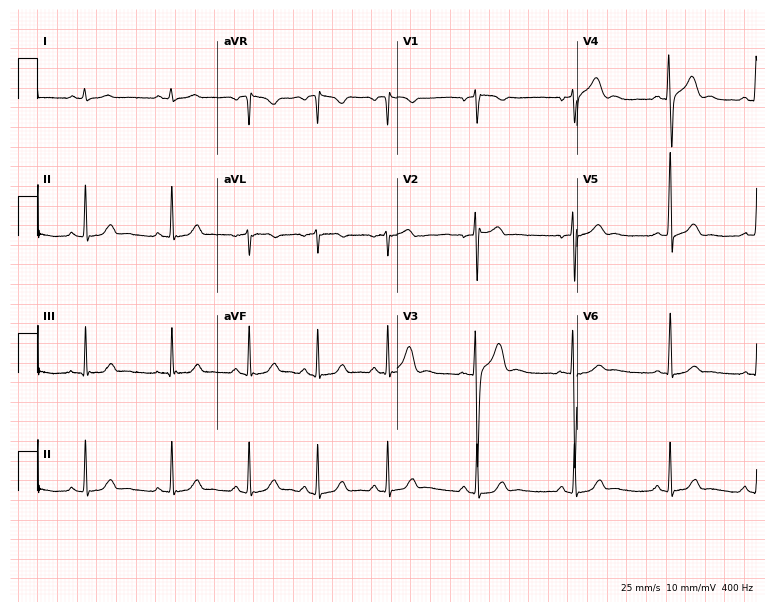
Electrocardiogram, a male patient, 23 years old. Of the six screened findings (first-degree AV block, right bundle branch block, left bundle branch block, sinus bradycardia, atrial fibrillation, sinus tachycardia), none is recorded. Only these six findings were labelled.